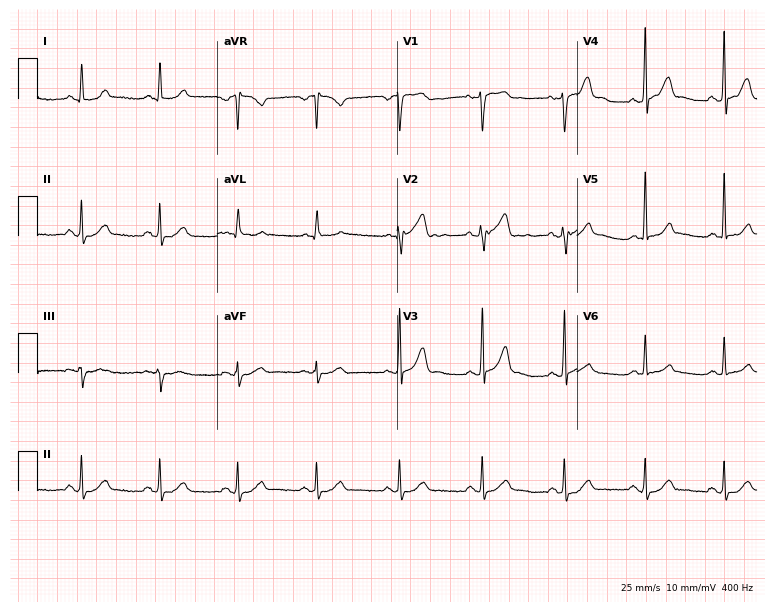
Standard 12-lead ECG recorded from a male, 72 years old (7.3-second recording at 400 Hz). Read as a normal ECG.